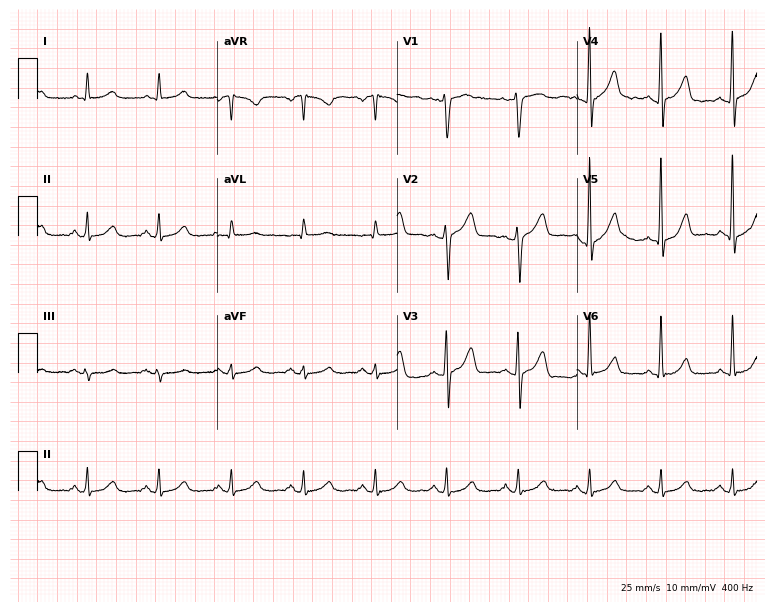
Standard 12-lead ECG recorded from an 83-year-old woman (7.3-second recording at 400 Hz). None of these six findings is recorded: first-degree AV block, right bundle branch block (RBBB), left bundle branch block (LBBB), sinus bradycardia, atrial fibrillation (AF), sinus tachycardia.